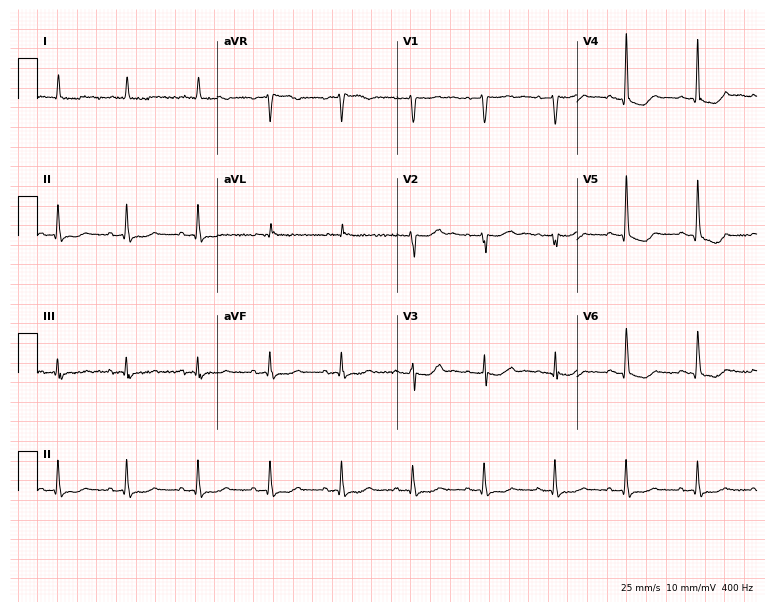
Electrocardiogram, a 76-year-old woman. Of the six screened findings (first-degree AV block, right bundle branch block, left bundle branch block, sinus bradycardia, atrial fibrillation, sinus tachycardia), none is recorded.